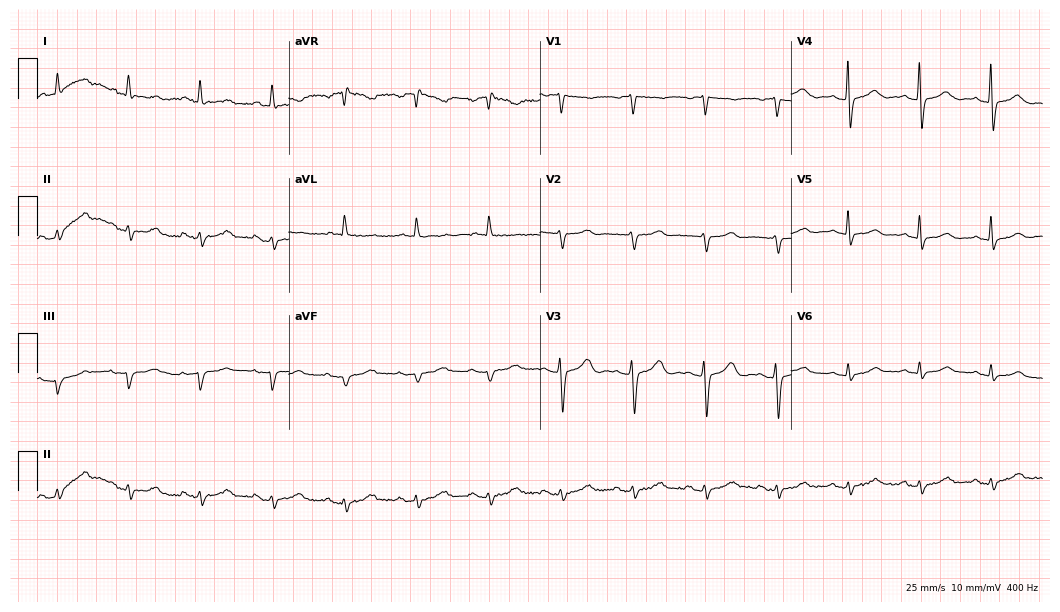
Electrocardiogram, a 77-year-old female. Of the six screened findings (first-degree AV block, right bundle branch block, left bundle branch block, sinus bradycardia, atrial fibrillation, sinus tachycardia), none is recorded. Only these six findings were labelled.